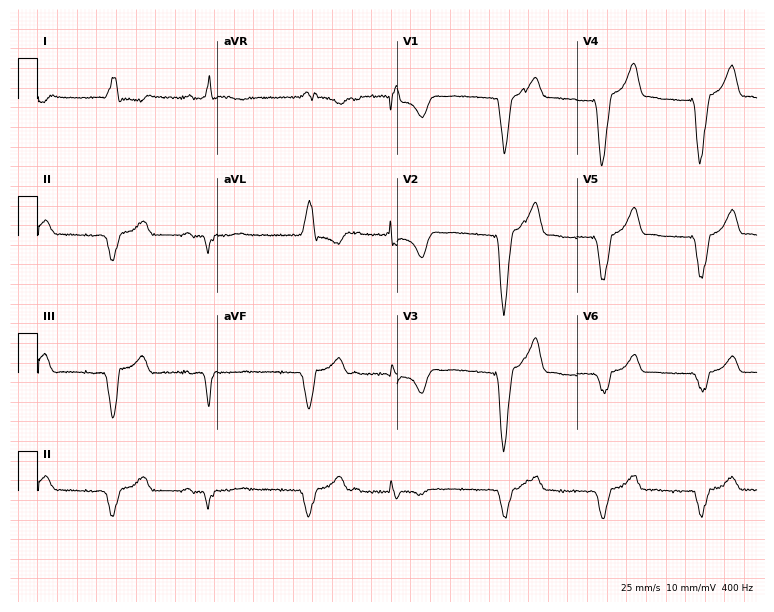
12-lead ECG (7.3-second recording at 400 Hz) from a male patient, 59 years old. Screened for six findings — first-degree AV block, right bundle branch block, left bundle branch block, sinus bradycardia, atrial fibrillation, sinus tachycardia — none is recorded.